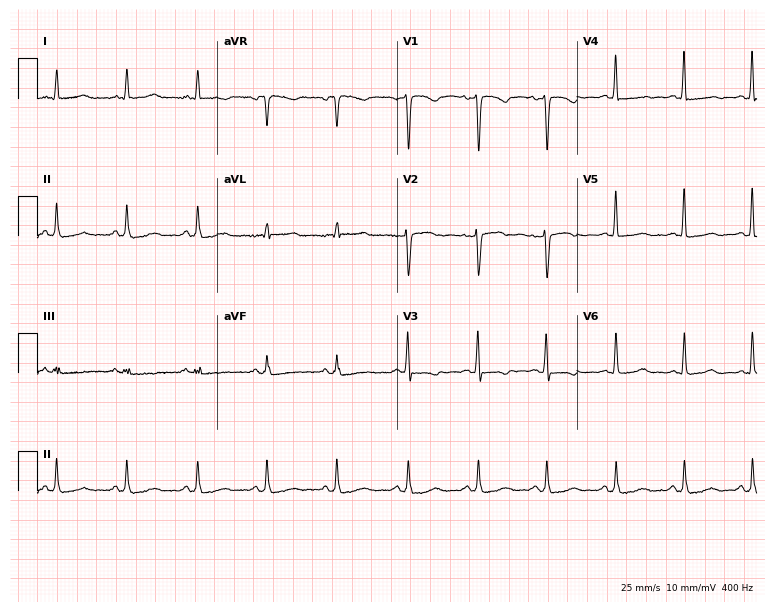
Resting 12-lead electrocardiogram. Patient: a female, 56 years old. None of these six findings is recorded: first-degree AV block, right bundle branch block, left bundle branch block, sinus bradycardia, atrial fibrillation, sinus tachycardia. Findings outside these six are not listed.